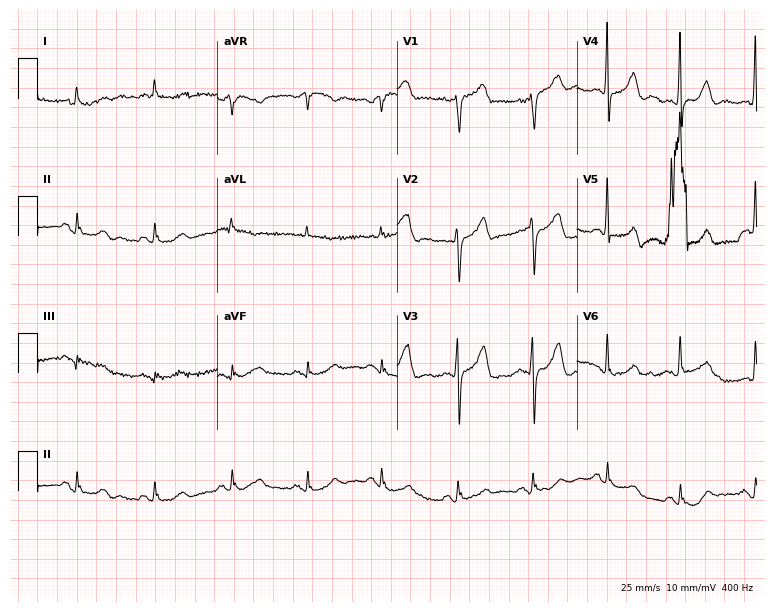
Electrocardiogram, a female, 76 years old. Overall reading on record: normal ECG.